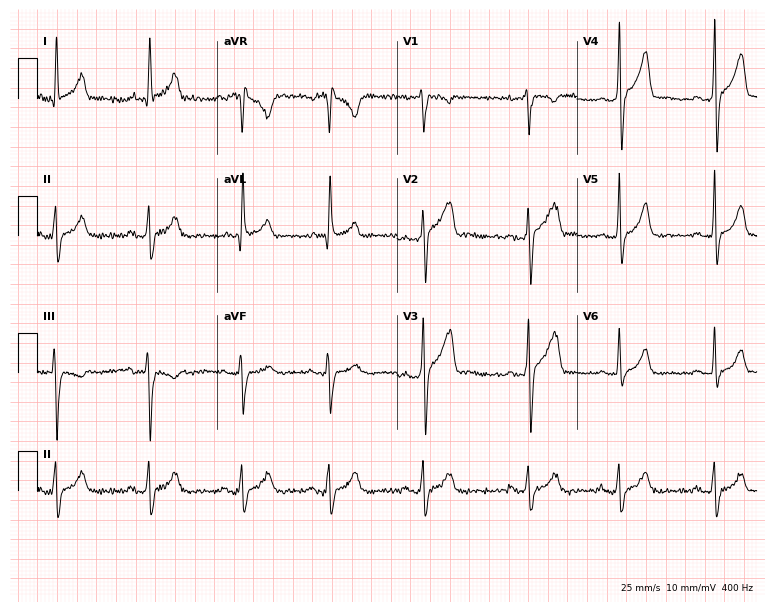
Resting 12-lead electrocardiogram (7.3-second recording at 400 Hz). Patient: a 32-year-old male. None of these six findings is recorded: first-degree AV block, right bundle branch block, left bundle branch block, sinus bradycardia, atrial fibrillation, sinus tachycardia.